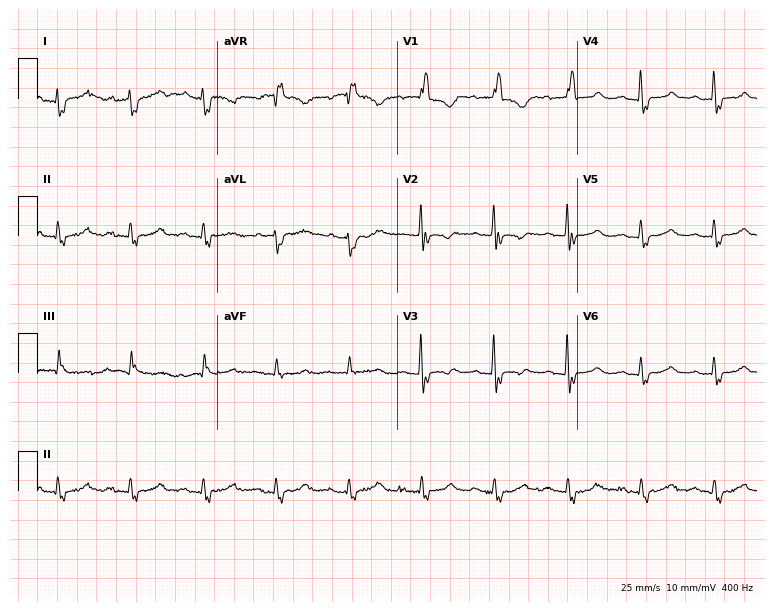
12-lead ECG from a 76-year-old female (7.3-second recording at 400 Hz). Shows first-degree AV block, right bundle branch block.